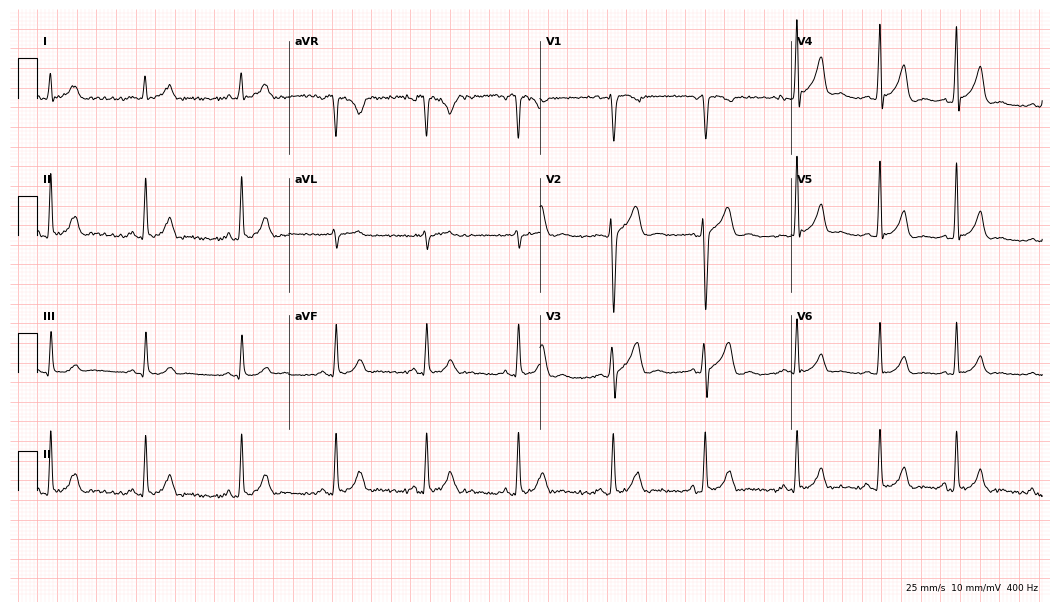
12-lead ECG (10.2-second recording at 400 Hz) from a male patient, 31 years old. Labelled as a normal ECG.